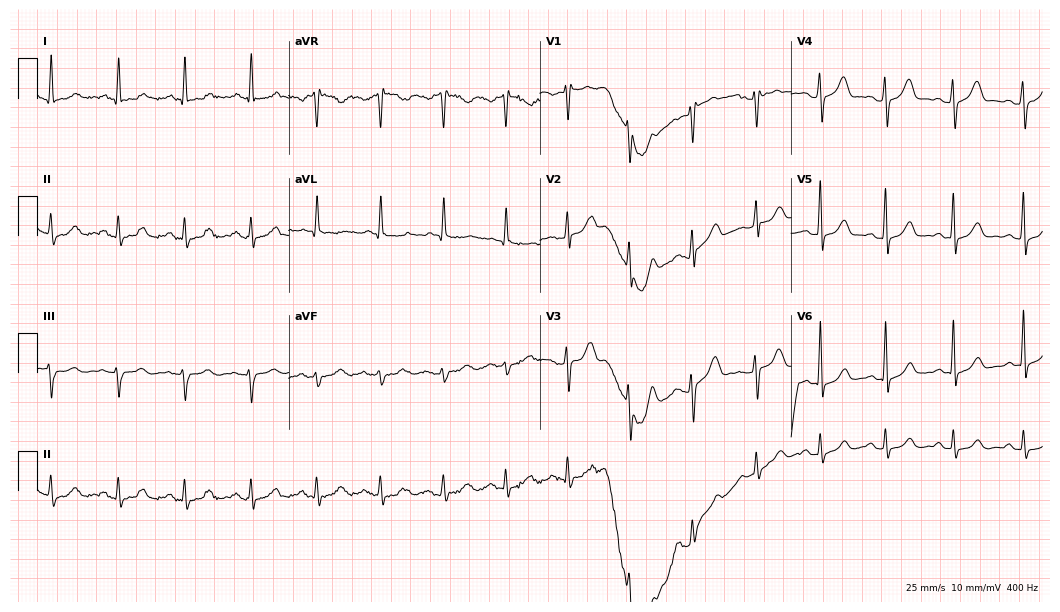
12-lead ECG from a female, 35 years old. Screened for six findings — first-degree AV block, right bundle branch block, left bundle branch block, sinus bradycardia, atrial fibrillation, sinus tachycardia — none is recorded.